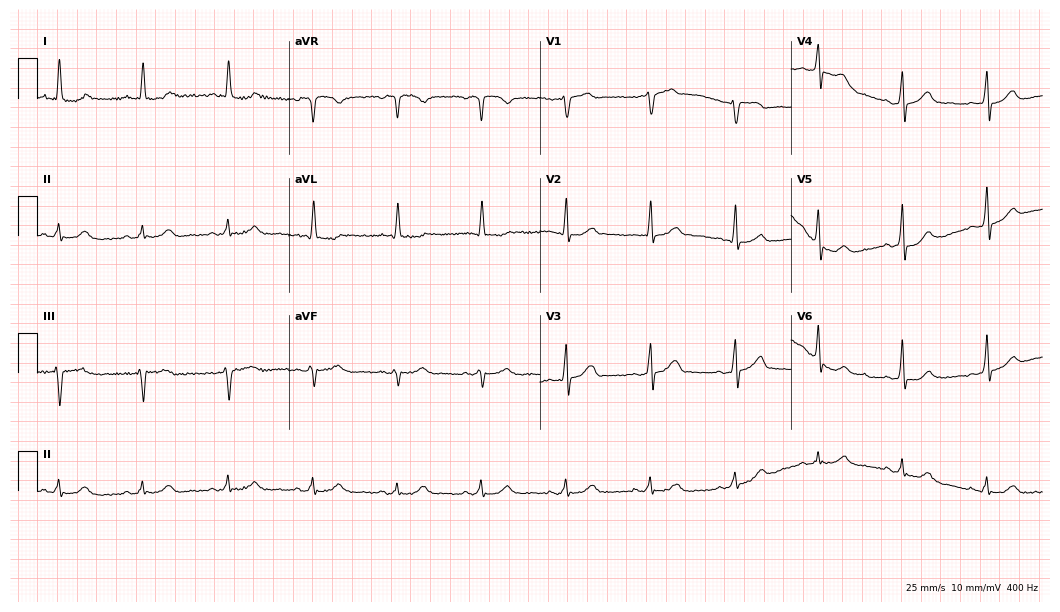
Electrocardiogram, a male patient, 58 years old. Of the six screened findings (first-degree AV block, right bundle branch block (RBBB), left bundle branch block (LBBB), sinus bradycardia, atrial fibrillation (AF), sinus tachycardia), none is recorded. Findings outside these six are not listed.